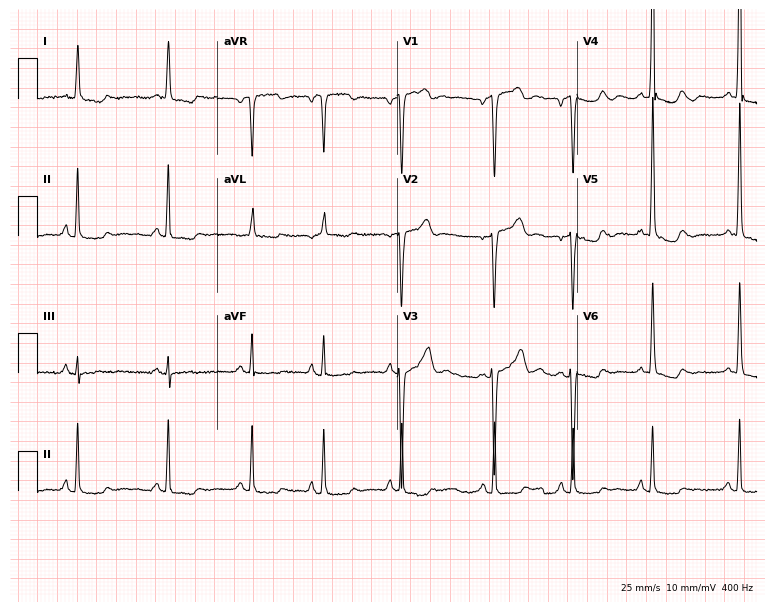
Electrocardiogram, a 78-year-old woman. Of the six screened findings (first-degree AV block, right bundle branch block, left bundle branch block, sinus bradycardia, atrial fibrillation, sinus tachycardia), none is recorded. Findings outside these six are not listed.